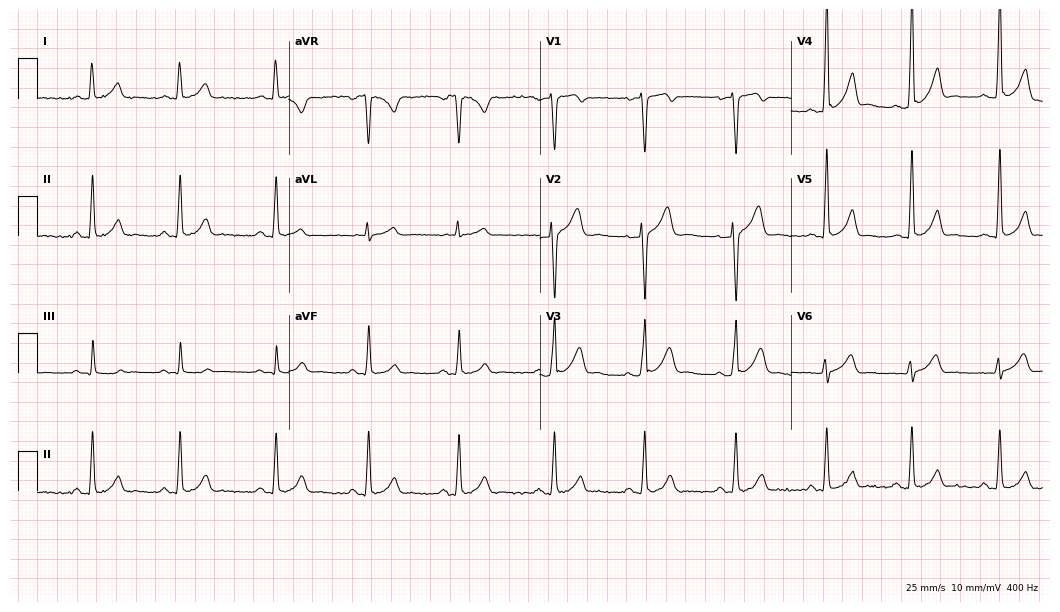
Resting 12-lead electrocardiogram (10.2-second recording at 400 Hz). Patient: a man, 26 years old. Read as a normal ECG.